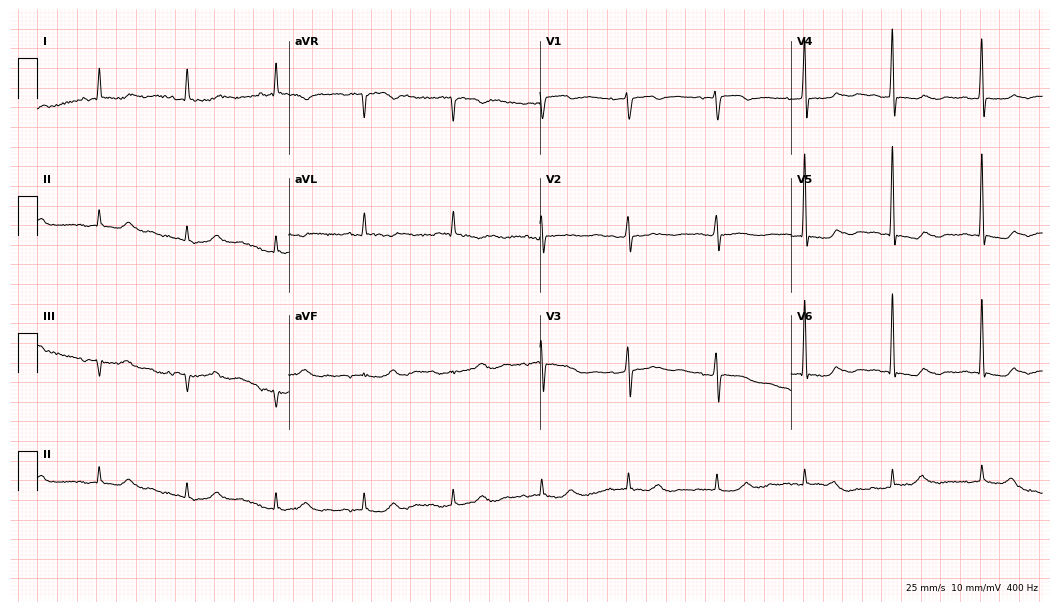
ECG — a female, 84 years old. Screened for six findings — first-degree AV block, right bundle branch block (RBBB), left bundle branch block (LBBB), sinus bradycardia, atrial fibrillation (AF), sinus tachycardia — none is recorded.